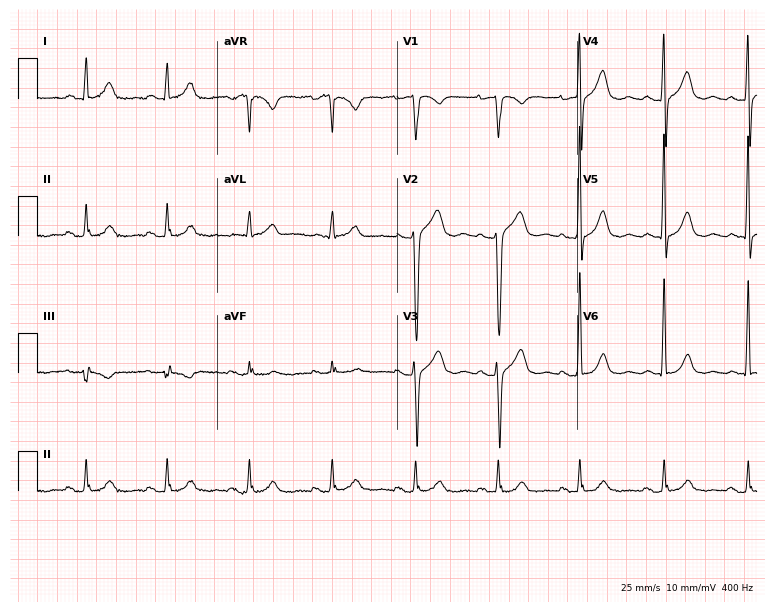
ECG — a 66-year-old male. Labelled as a normal ECG.